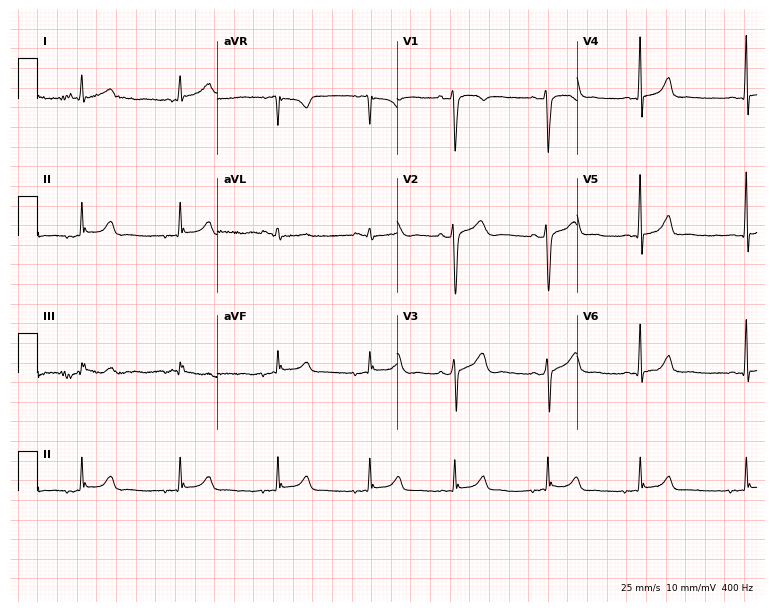
Resting 12-lead electrocardiogram (7.3-second recording at 400 Hz). Patient: a male, 24 years old. None of these six findings is recorded: first-degree AV block, right bundle branch block, left bundle branch block, sinus bradycardia, atrial fibrillation, sinus tachycardia. Other findings, if any, are not listed.